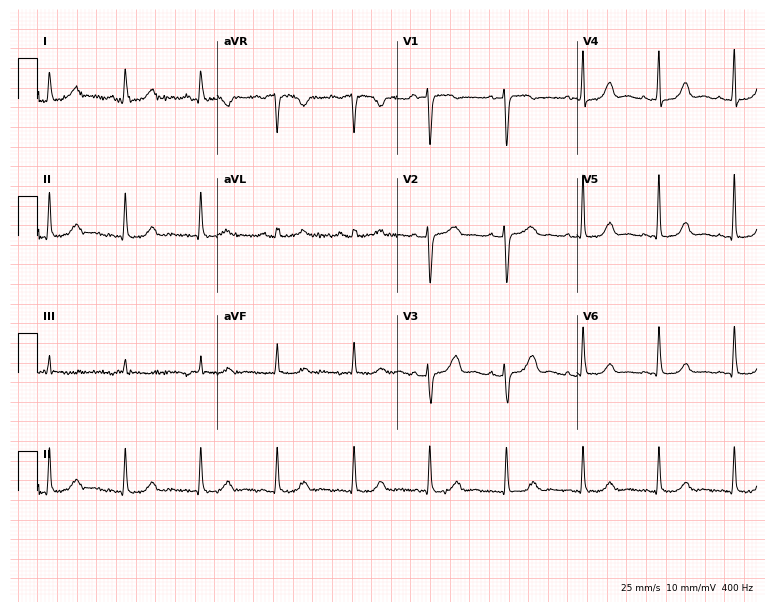
Electrocardiogram (7.3-second recording at 400 Hz), a female, 63 years old. Overall reading on record: normal ECG.